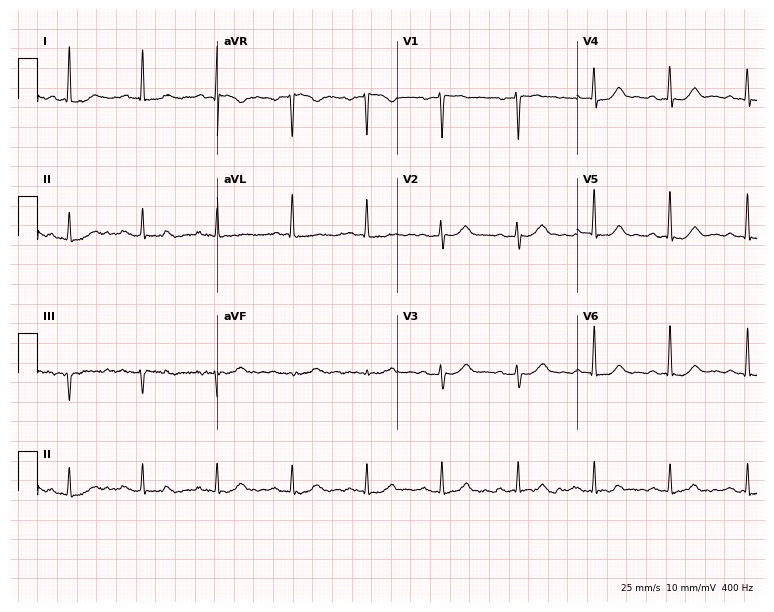
Electrocardiogram (7.3-second recording at 400 Hz), a woman, 48 years old. Overall reading on record: normal ECG.